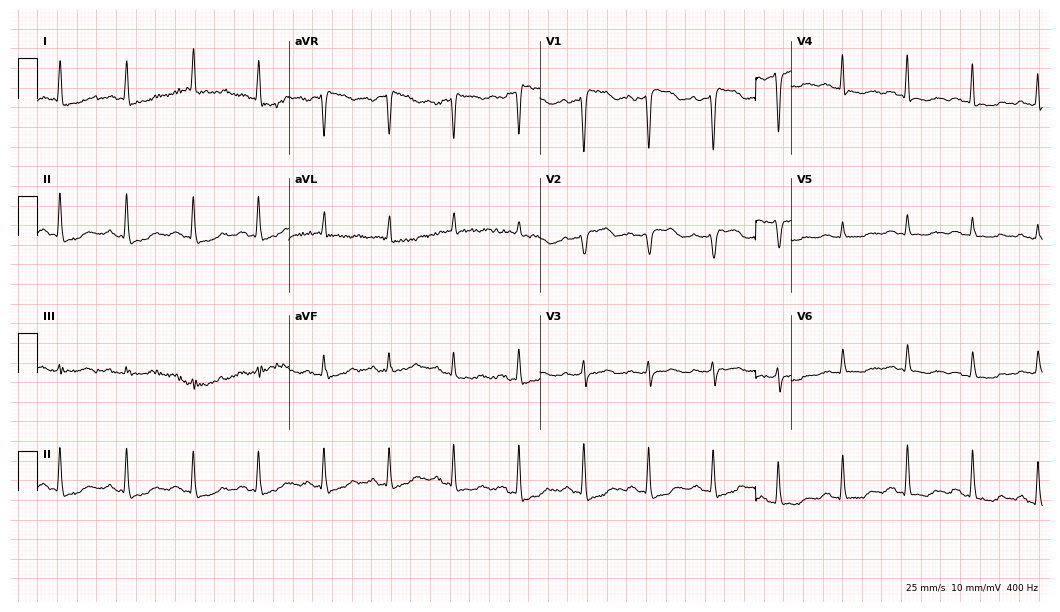
Electrocardiogram (10.2-second recording at 400 Hz), a 64-year-old woman. Of the six screened findings (first-degree AV block, right bundle branch block, left bundle branch block, sinus bradycardia, atrial fibrillation, sinus tachycardia), none is recorded.